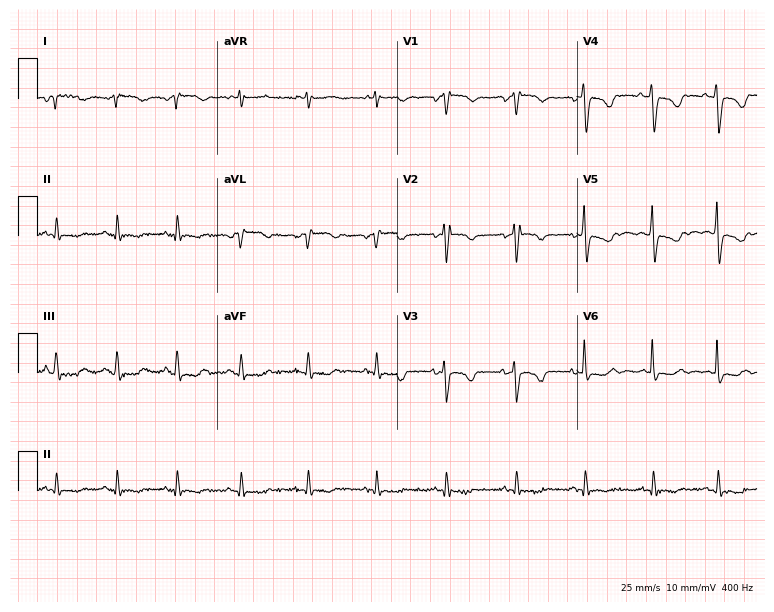
12-lead ECG from a woman, 60 years old. Screened for six findings — first-degree AV block, right bundle branch block, left bundle branch block, sinus bradycardia, atrial fibrillation, sinus tachycardia — none is recorded. Findings outside these six are not listed.